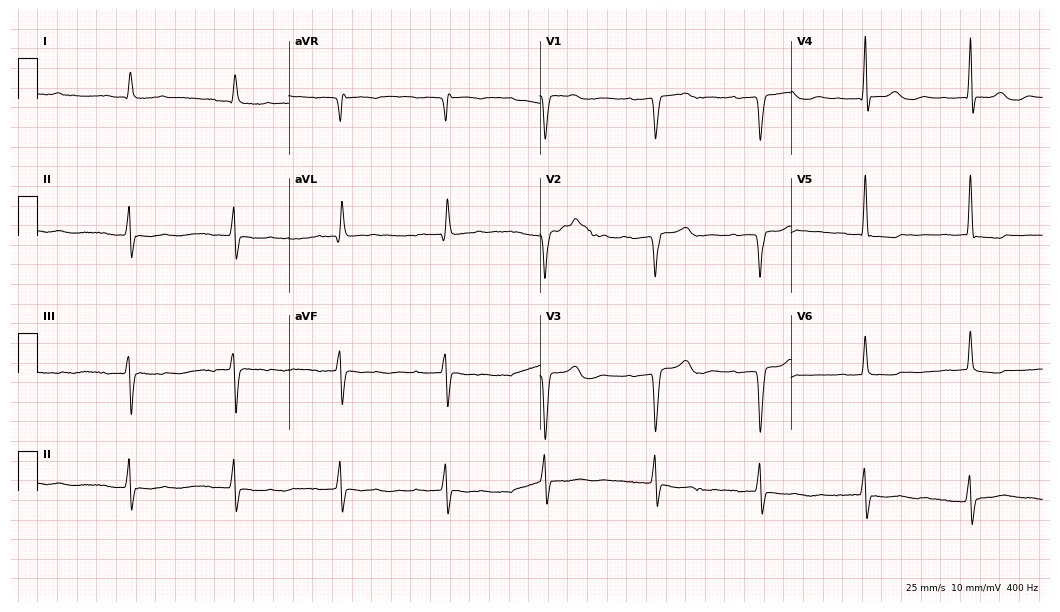
12-lead ECG (10.2-second recording at 400 Hz) from a female, 81 years old. Findings include first-degree AV block.